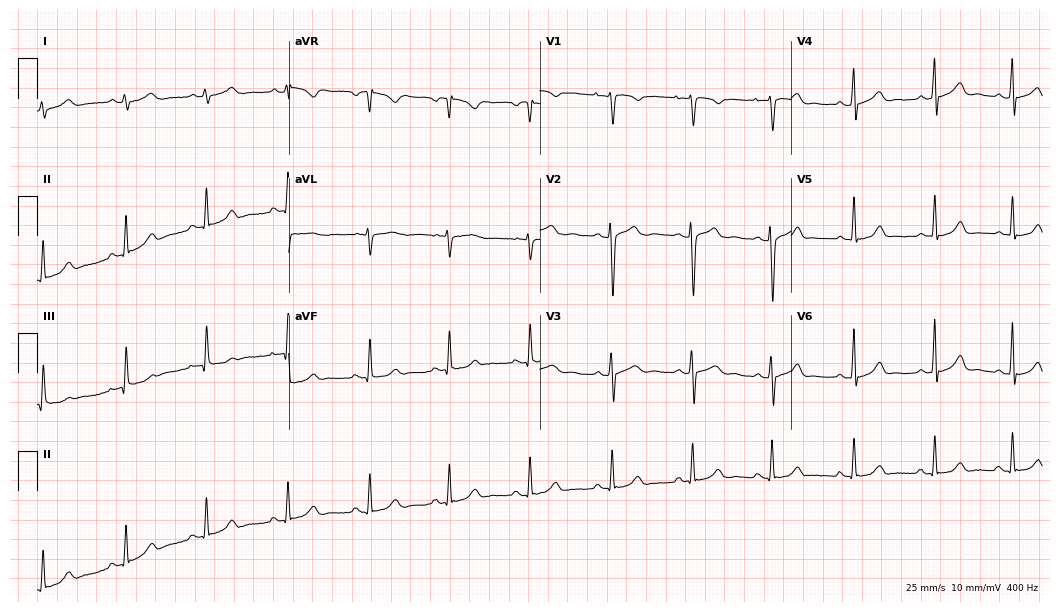
Standard 12-lead ECG recorded from a female, 27 years old (10.2-second recording at 400 Hz). None of these six findings is recorded: first-degree AV block, right bundle branch block, left bundle branch block, sinus bradycardia, atrial fibrillation, sinus tachycardia. Other findings, if any, are not listed.